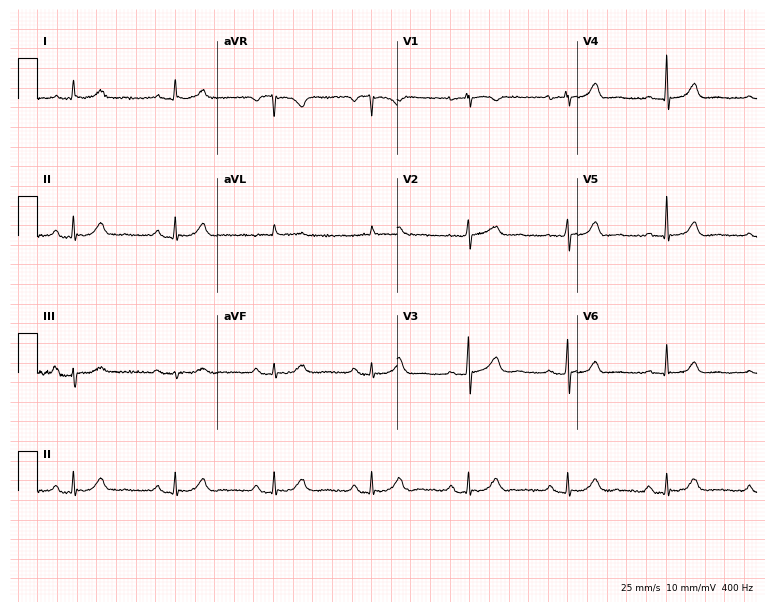
Electrocardiogram (7.3-second recording at 400 Hz), a 61-year-old woman. Of the six screened findings (first-degree AV block, right bundle branch block, left bundle branch block, sinus bradycardia, atrial fibrillation, sinus tachycardia), none is recorded.